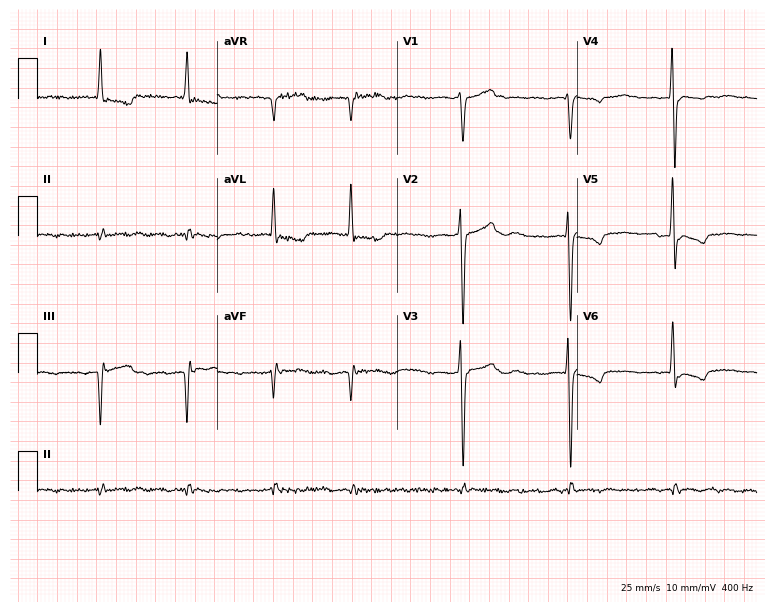
Electrocardiogram (7.3-second recording at 400 Hz), a 78-year-old female. Interpretation includes atrial fibrillation (AF).